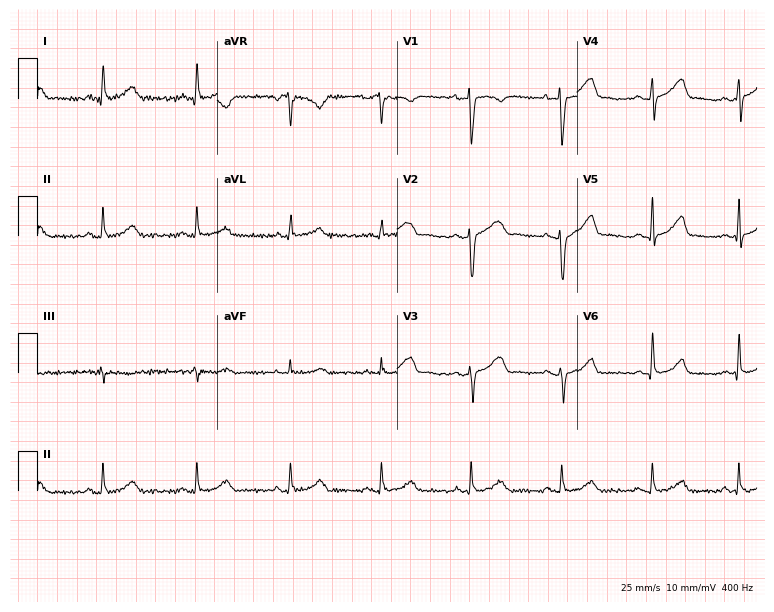
Standard 12-lead ECG recorded from a 39-year-old female. None of these six findings is recorded: first-degree AV block, right bundle branch block, left bundle branch block, sinus bradycardia, atrial fibrillation, sinus tachycardia. Only these six findings were labelled.